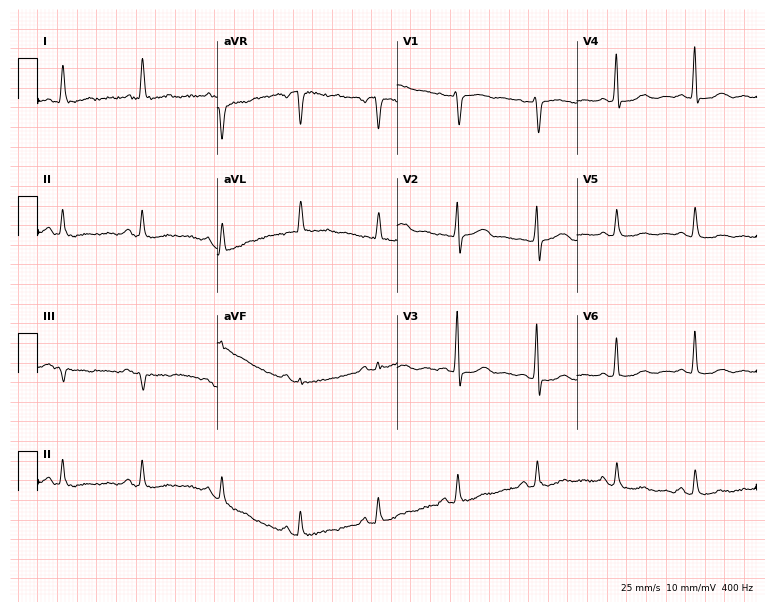
Electrocardiogram (7.3-second recording at 400 Hz), a 70-year-old female. Of the six screened findings (first-degree AV block, right bundle branch block (RBBB), left bundle branch block (LBBB), sinus bradycardia, atrial fibrillation (AF), sinus tachycardia), none is recorded.